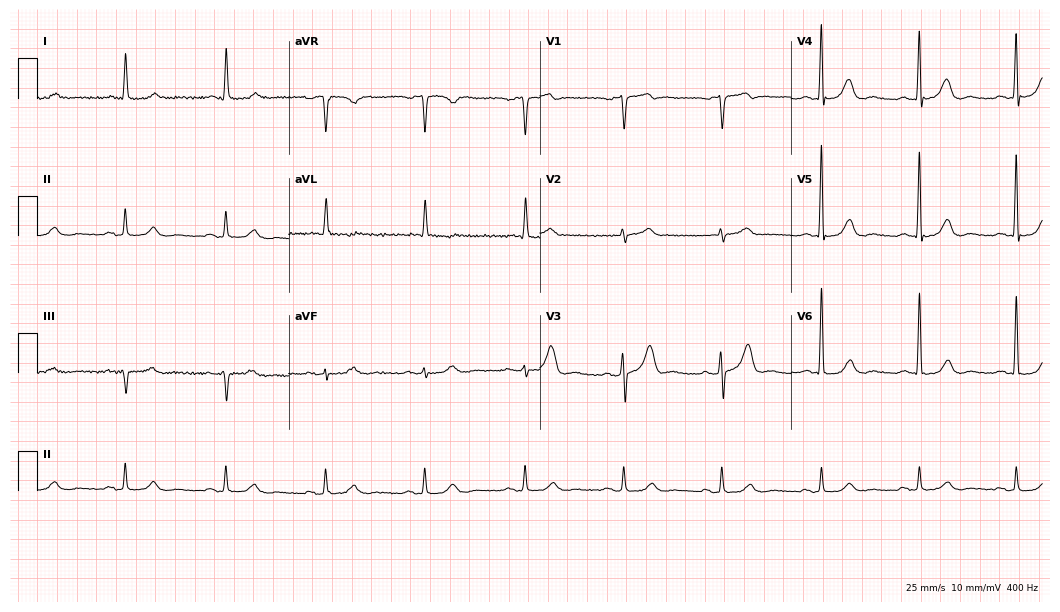
ECG — an 81-year-old man. Labelled as a normal ECG.